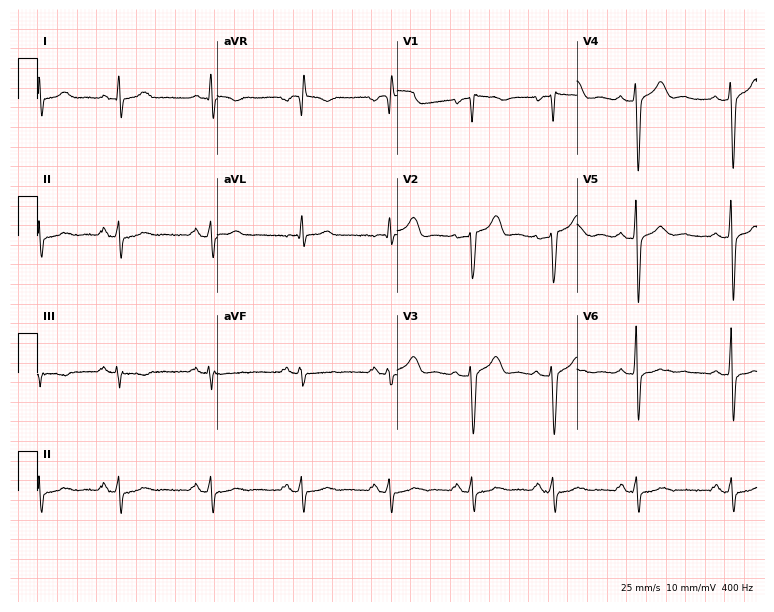
Electrocardiogram, a man, 50 years old. Overall reading on record: normal ECG.